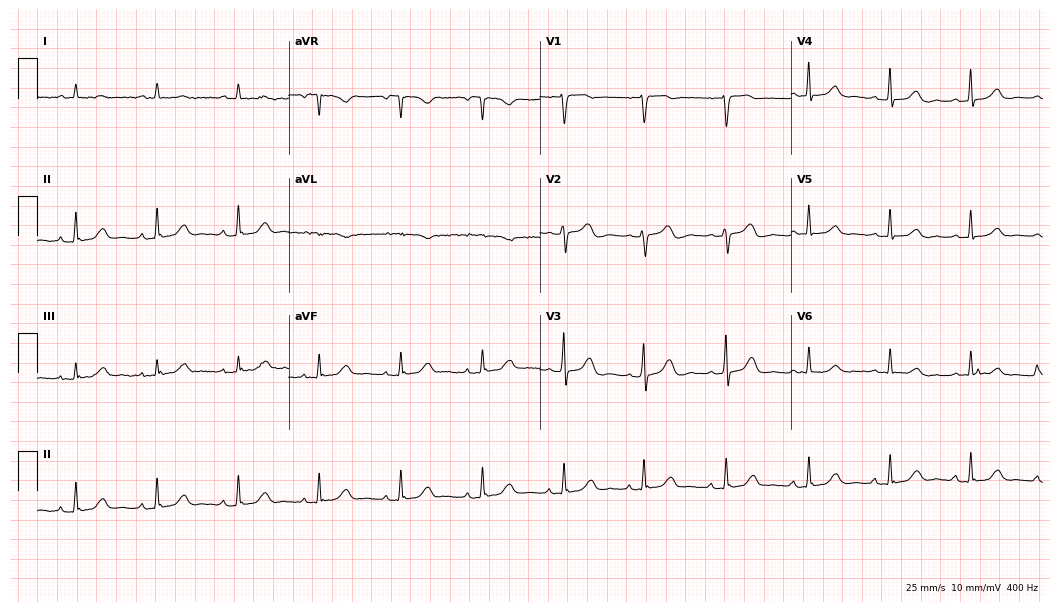
12-lead ECG from a female, 47 years old. Screened for six findings — first-degree AV block, right bundle branch block, left bundle branch block, sinus bradycardia, atrial fibrillation, sinus tachycardia — none is recorded.